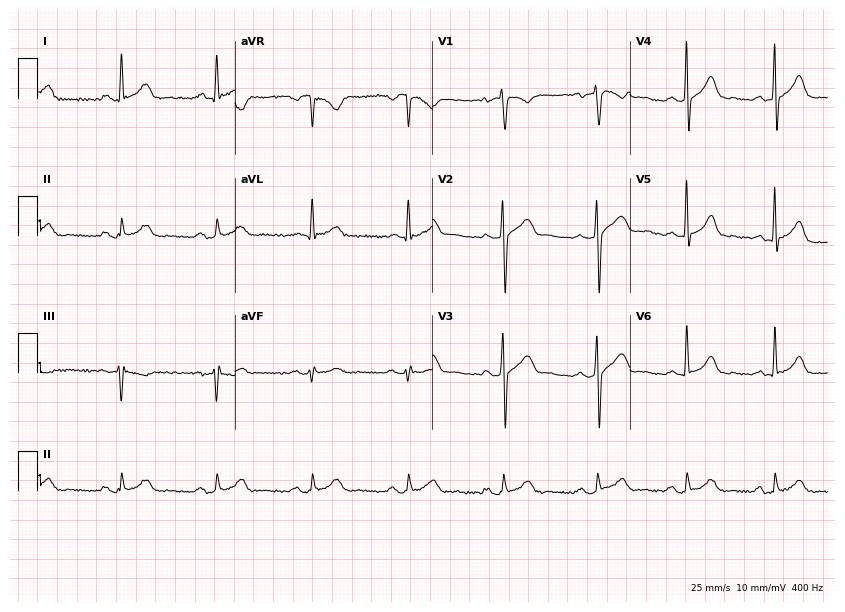
12-lead ECG from a 47-year-old male (8.1-second recording at 400 Hz). Recorded interpretation: within normal limits.